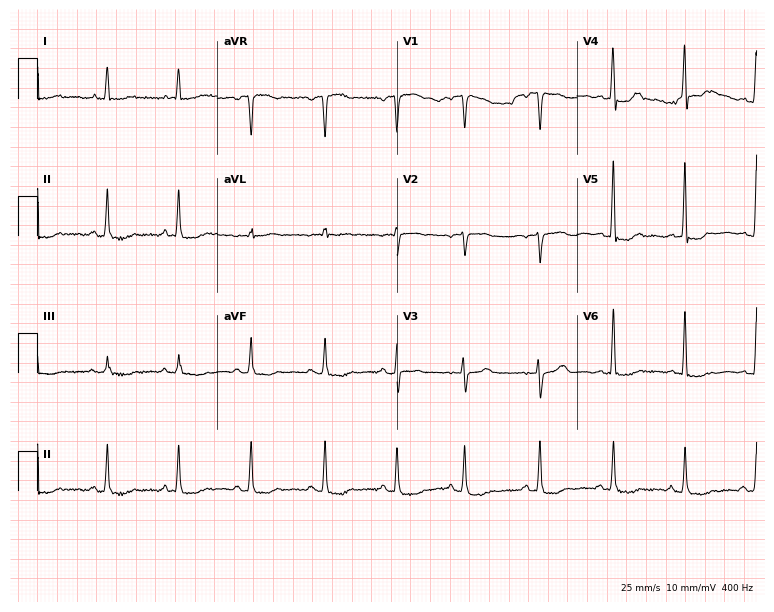
ECG (7.3-second recording at 400 Hz) — a 67-year-old woman. Screened for six findings — first-degree AV block, right bundle branch block, left bundle branch block, sinus bradycardia, atrial fibrillation, sinus tachycardia — none is recorded.